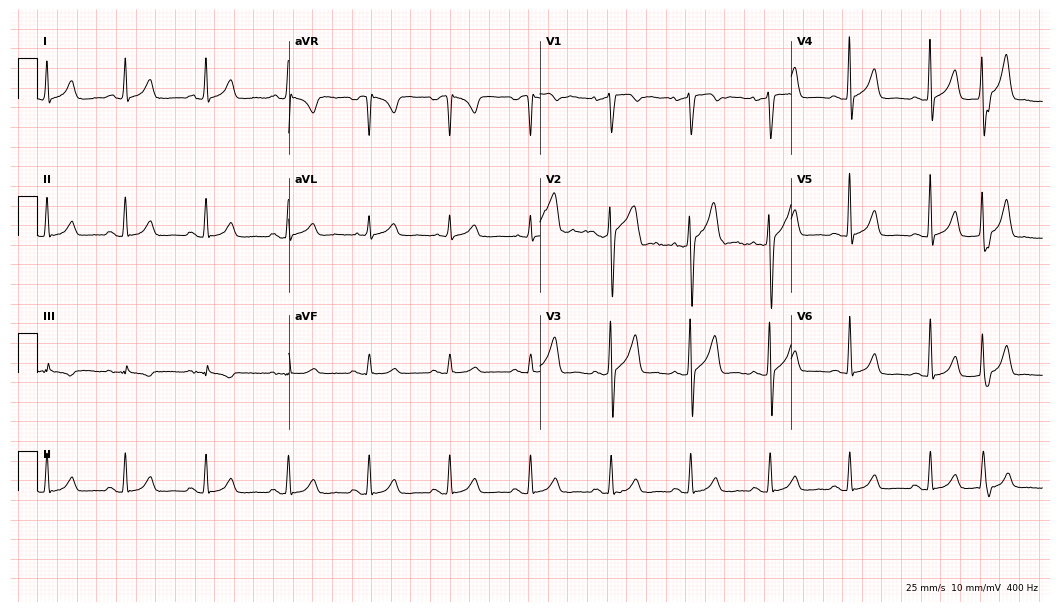
12-lead ECG from a male patient, 42 years old. Labelled as a normal ECG.